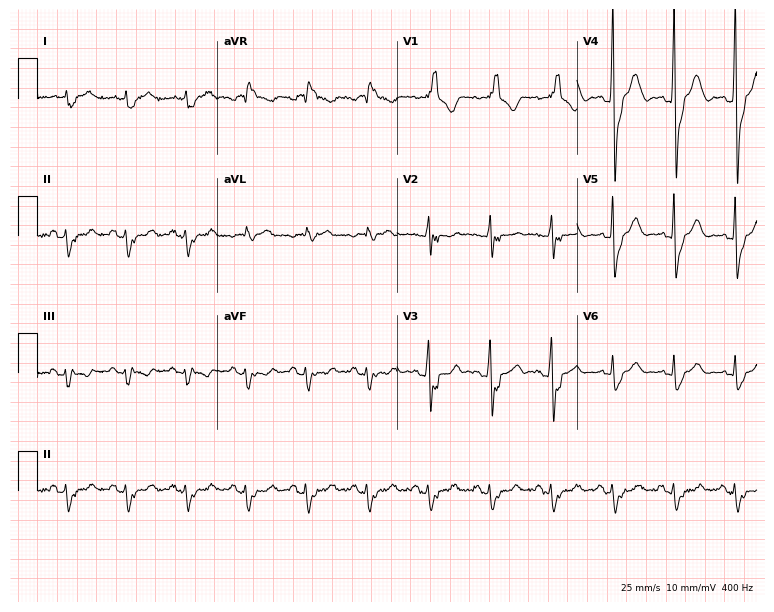
12-lead ECG from a woman, 60 years old. Findings include right bundle branch block.